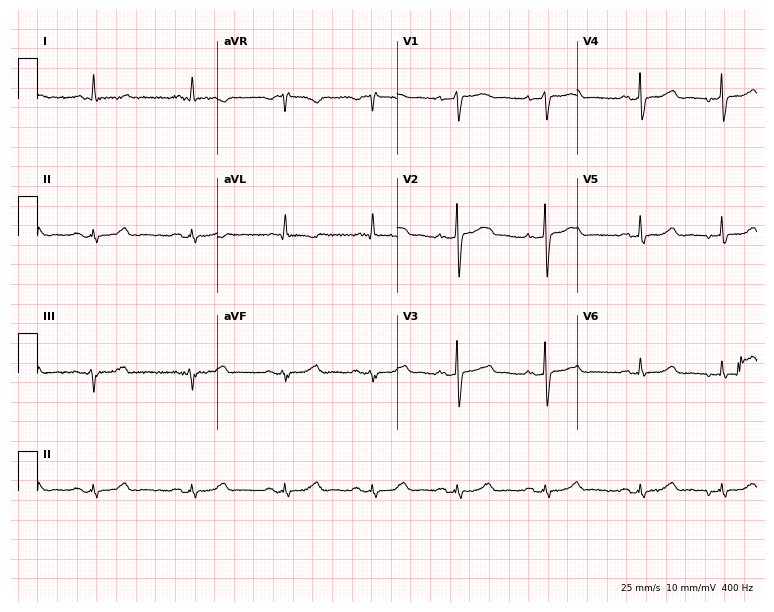
ECG — a woman, 60 years old. Labelled as a normal ECG.